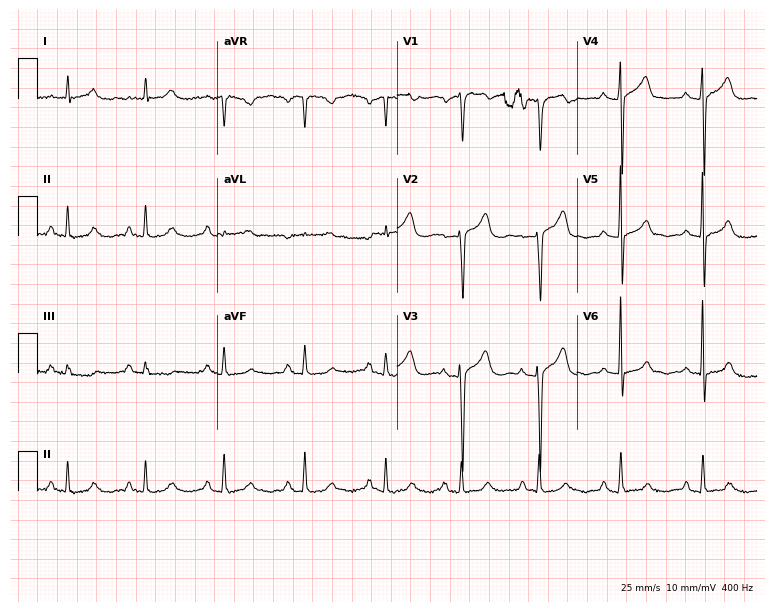
ECG — a female patient, 73 years old. Screened for six findings — first-degree AV block, right bundle branch block, left bundle branch block, sinus bradycardia, atrial fibrillation, sinus tachycardia — none is recorded. Other findings, if any, are not listed.